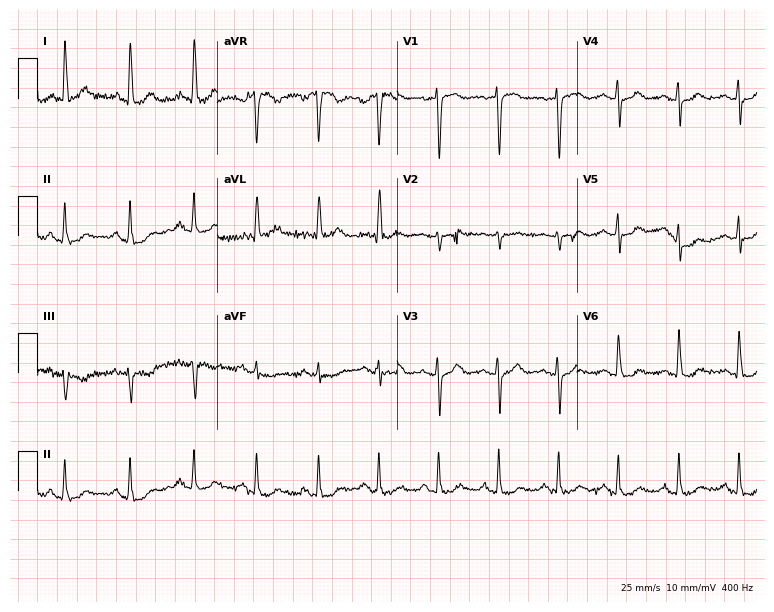
Resting 12-lead electrocardiogram (7.3-second recording at 400 Hz). Patient: a 53-year-old female. Read as a normal ECG.